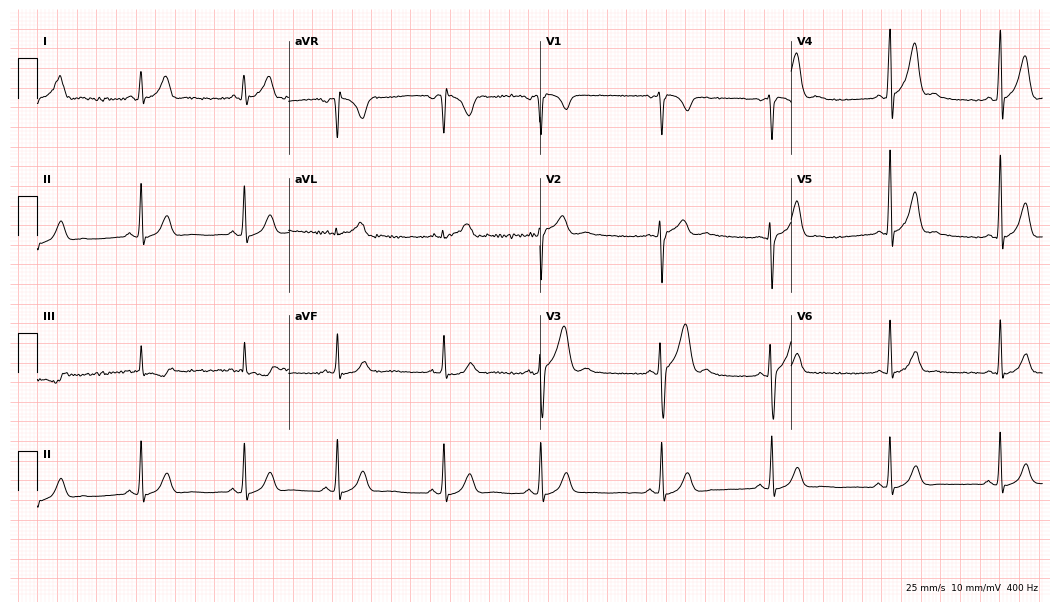
Resting 12-lead electrocardiogram (10.2-second recording at 400 Hz). Patient: a male, 25 years old. Read as a normal ECG.